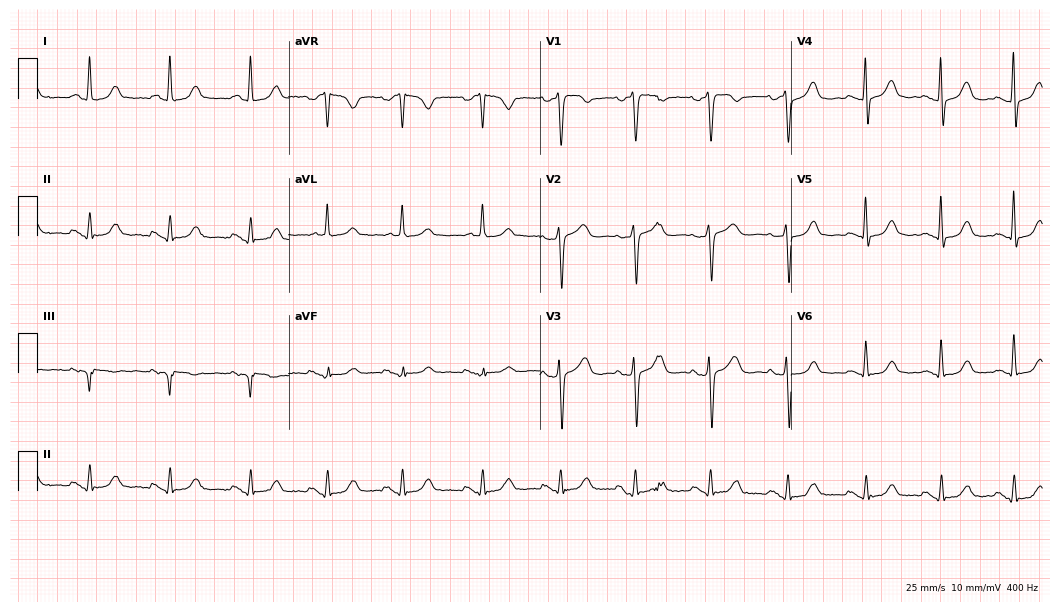
ECG (10.2-second recording at 400 Hz) — a 49-year-old woman. Labelled as a normal ECG.